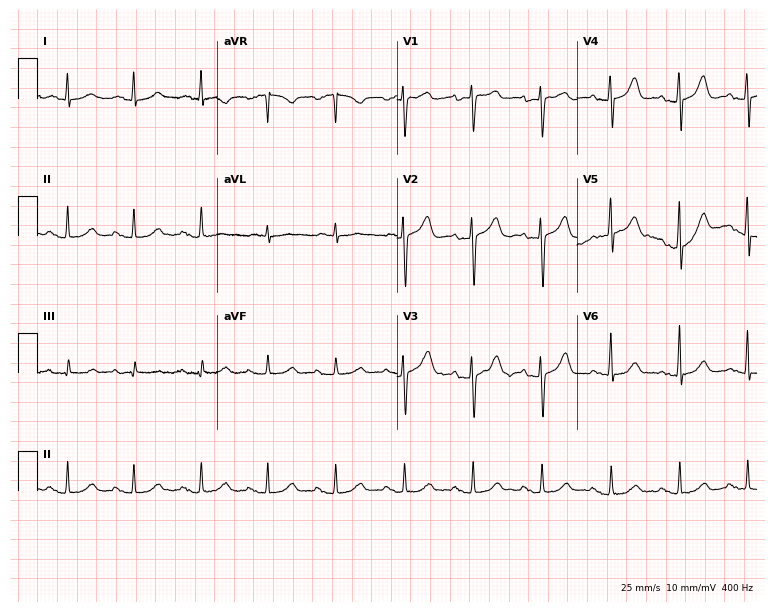
Standard 12-lead ECG recorded from a 65-year-old female. Read as a normal ECG.